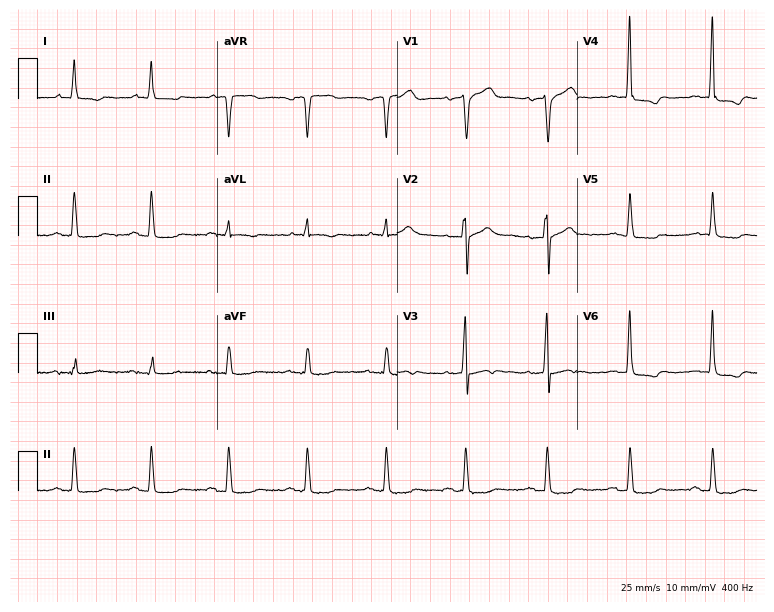
Resting 12-lead electrocardiogram (7.3-second recording at 400 Hz). Patient: a 74-year-old man. None of these six findings is recorded: first-degree AV block, right bundle branch block, left bundle branch block, sinus bradycardia, atrial fibrillation, sinus tachycardia. Findings outside these six are not listed.